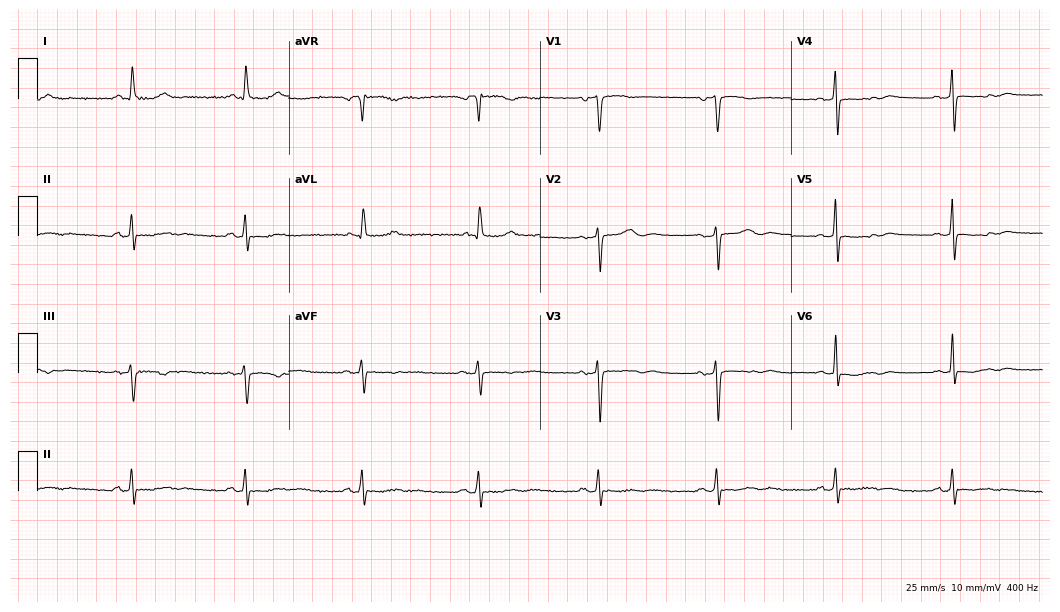
Resting 12-lead electrocardiogram. Patient: a woman, 62 years old. Read as a normal ECG.